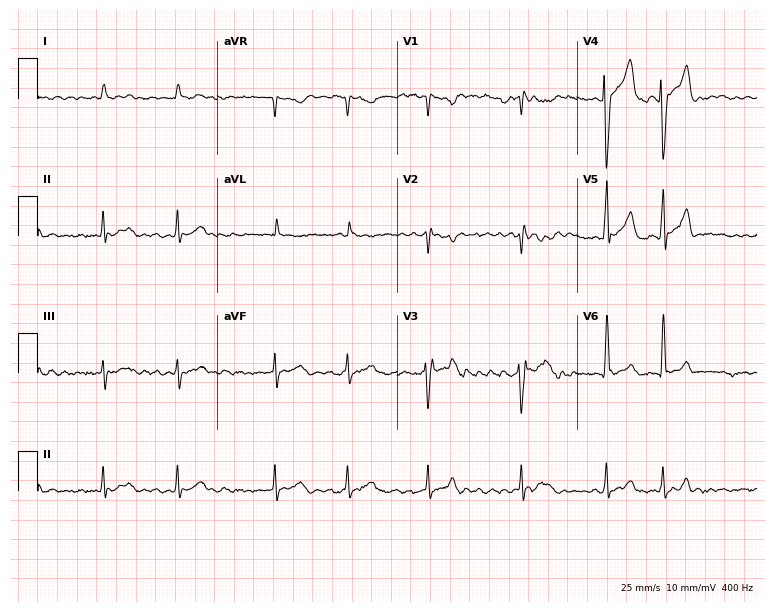
Standard 12-lead ECG recorded from a male patient, 41 years old (7.3-second recording at 400 Hz). The tracing shows atrial fibrillation.